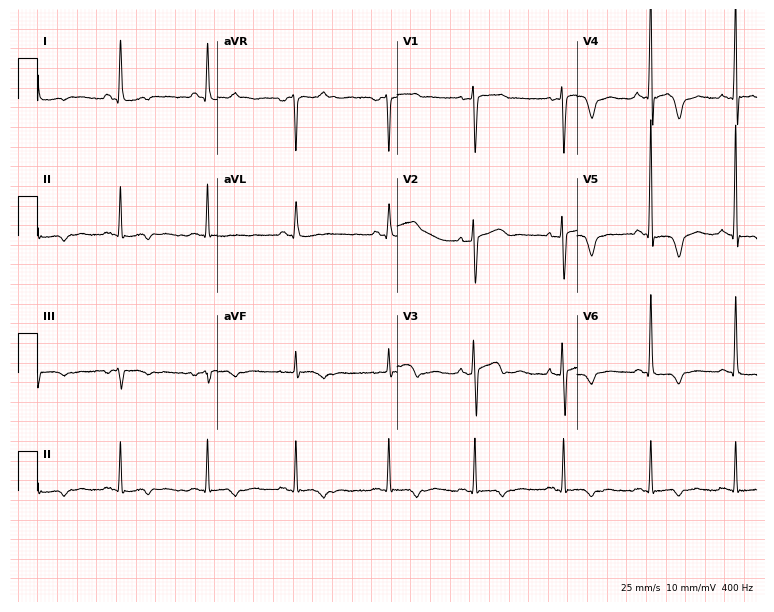
Standard 12-lead ECG recorded from a woman, 51 years old (7.3-second recording at 400 Hz). None of these six findings is recorded: first-degree AV block, right bundle branch block (RBBB), left bundle branch block (LBBB), sinus bradycardia, atrial fibrillation (AF), sinus tachycardia.